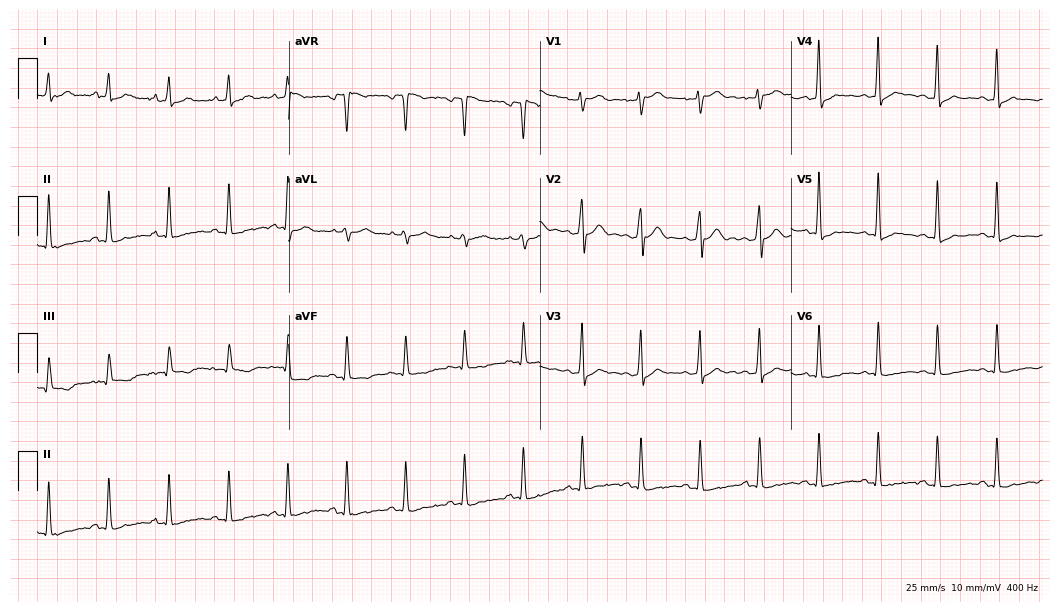
12-lead ECG from a man, 31 years old. Screened for six findings — first-degree AV block, right bundle branch block, left bundle branch block, sinus bradycardia, atrial fibrillation, sinus tachycardia — none is recorded. Other findings, if any, are not listed.